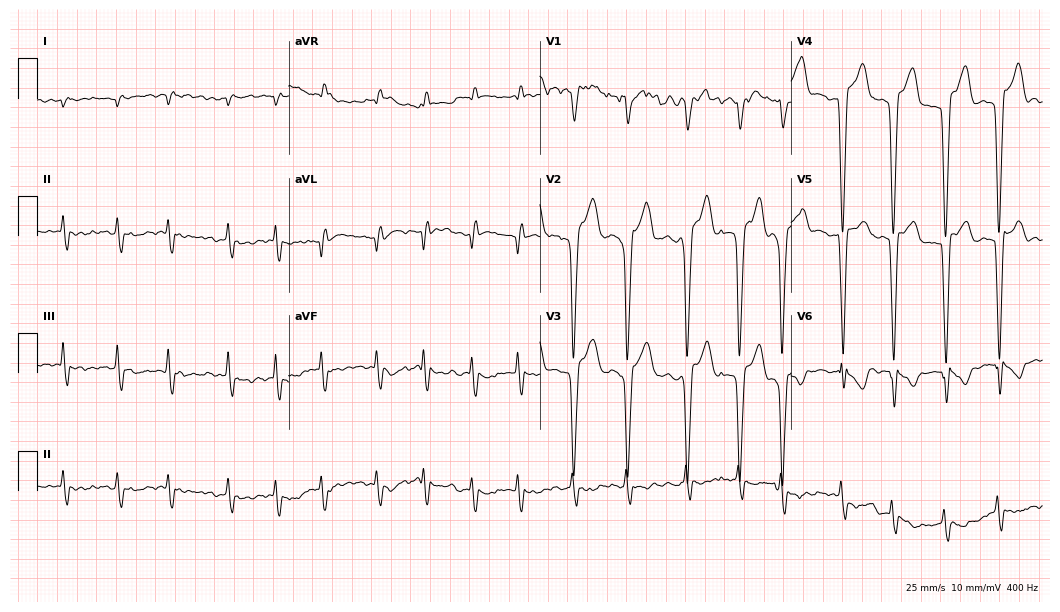
Electrocardiogram, an 85-year-old female. Of the six screened findings (first-degree AV block, right bundle branch block, left bundle branch block, sinus bradycardia, atrial fibrillation, sinus tachycardia), none is recorded.